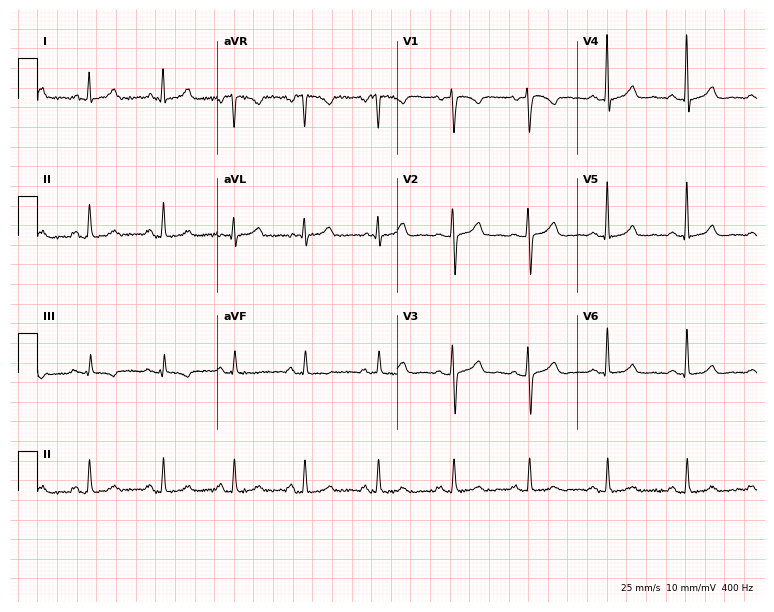
Resting 12-lead electrocardiogram. Patient: a woman, 45 years old. Read as a normal ECG.